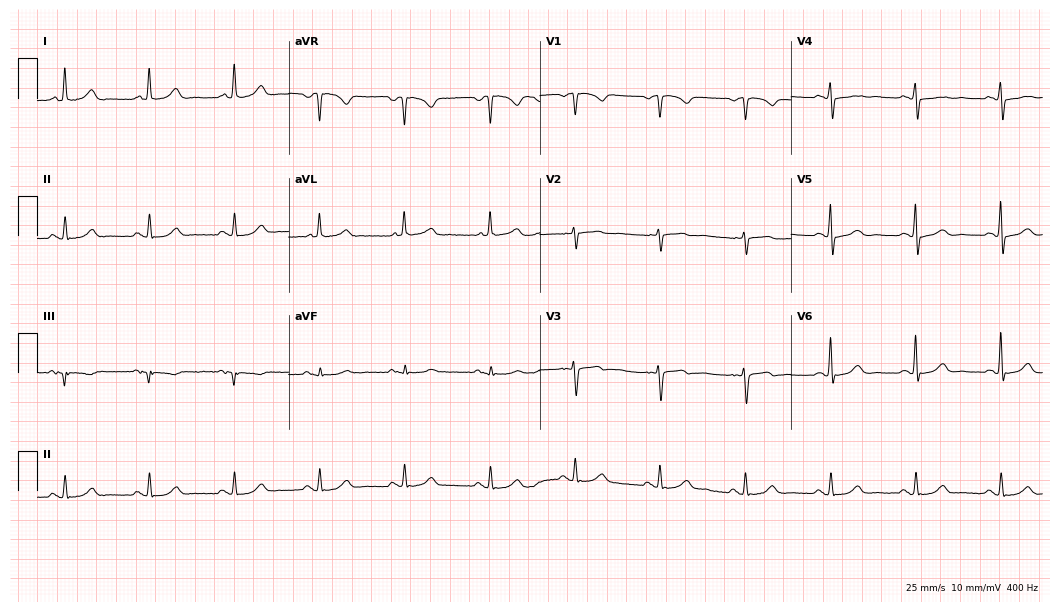
Electrocardiogram, a 61-year-old female. Overall reading on record: normal ECG.